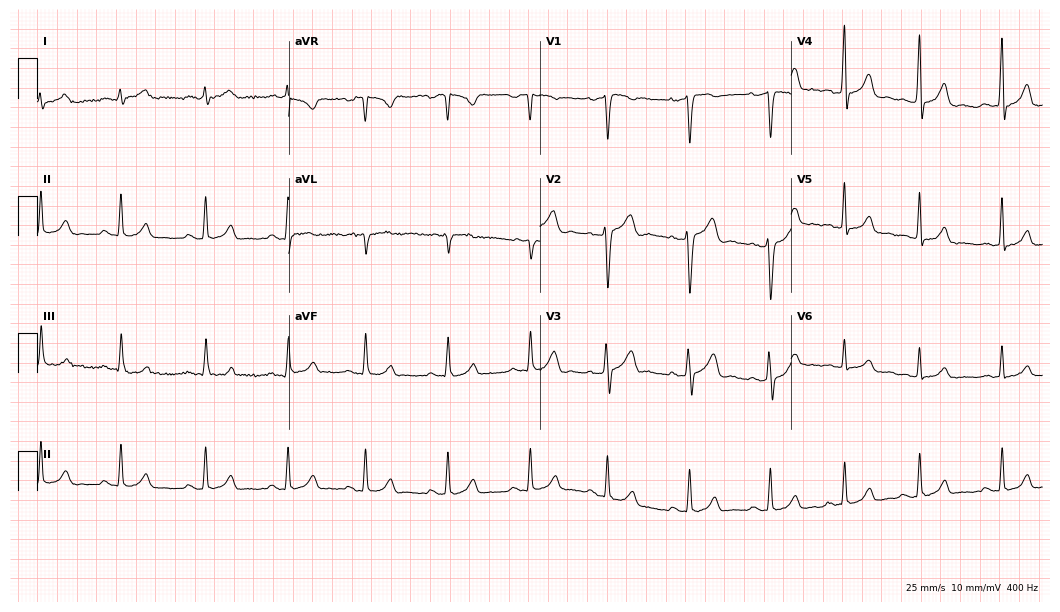
Electrocardiogram, a man, 33 years old. Of the six screened findings (first-degree AV block, right bundle branch block (RBBB), left bundle branch block (LBBB), sinus bradycardia, atrial fibrillation (AF), sinus tachycardia), none is recorded. Findings outside these six are not listed.